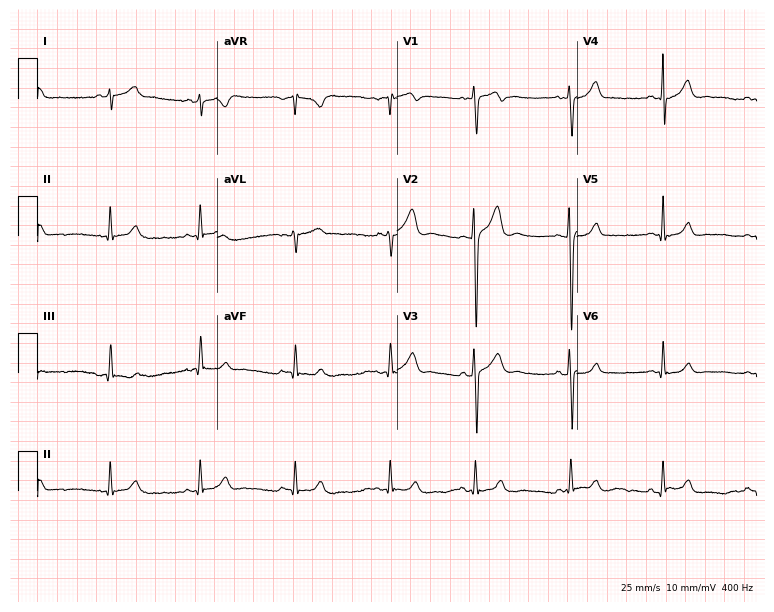
Resting 12-lead electrocardiogram (7.3-second recording at 400 Hz). Patient: a male, 21 years old. Read as a normal ECG.